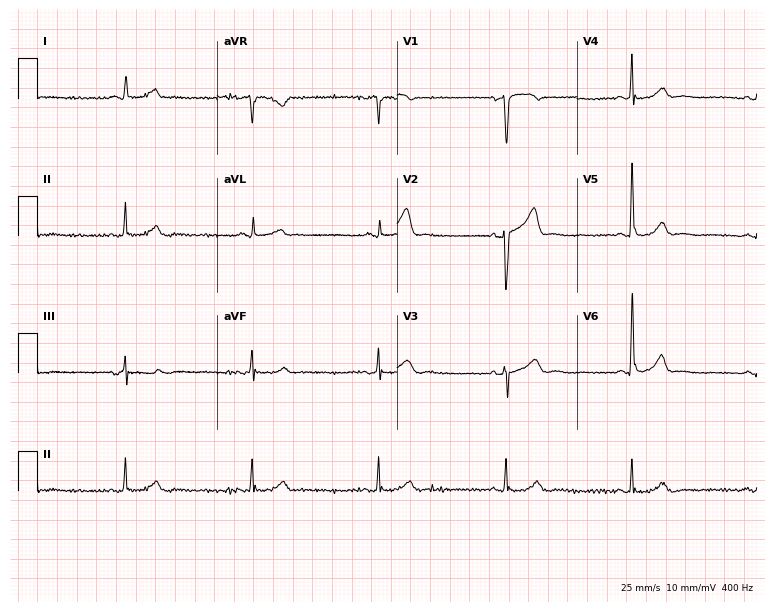
ECG — a male, 69 years old. Findings include sinus bradycardia (a sinus rate of 50 beats per minute or less).